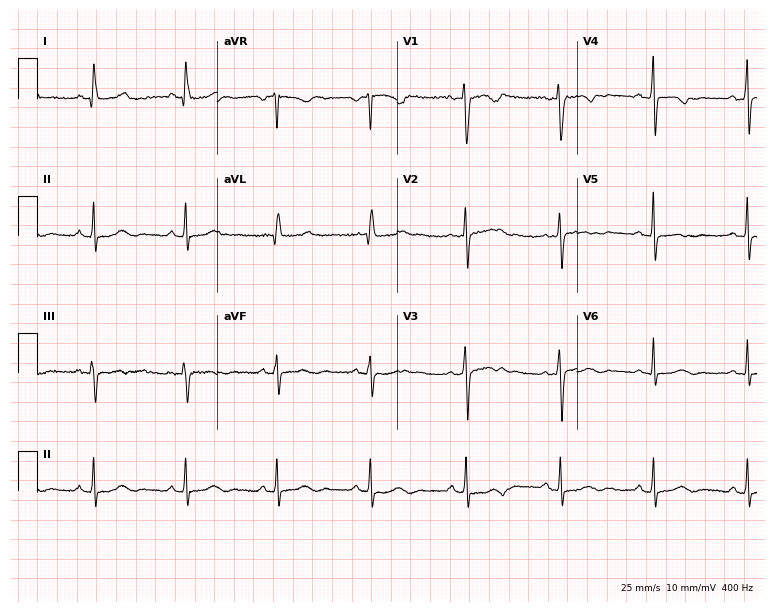
ECG — a 46-year-old female patient. Screened for six findings — first-degree AV block, right bundle branch block (RBBB), left bundle branch block (LBBB), sinus bradycardia, atrial fibrillation (AF), sinus tachycardia — none is recorded.